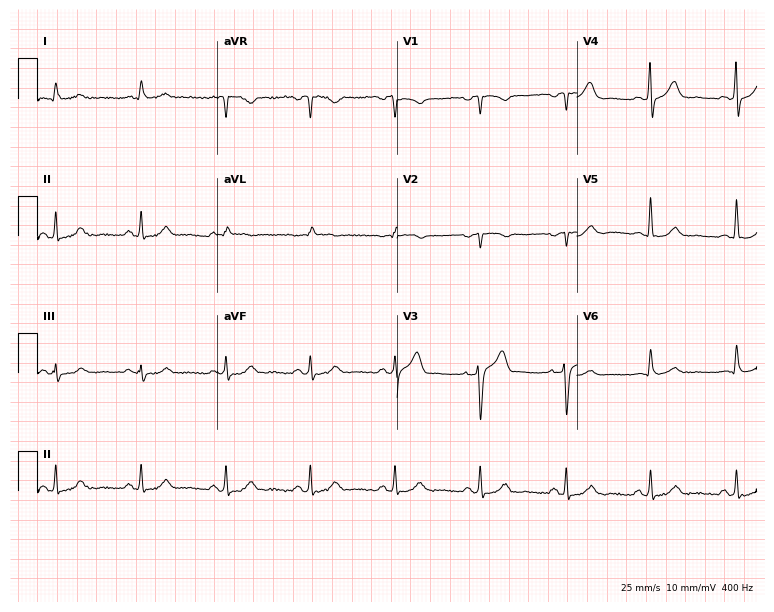
ECG — a 51-year-old man. Screened for six findings — first-degree AV block, right bundle branch block, left bundle branch block, sinus bradycardia, atrial fibrillation, sinus tachycardia — none is recorded.